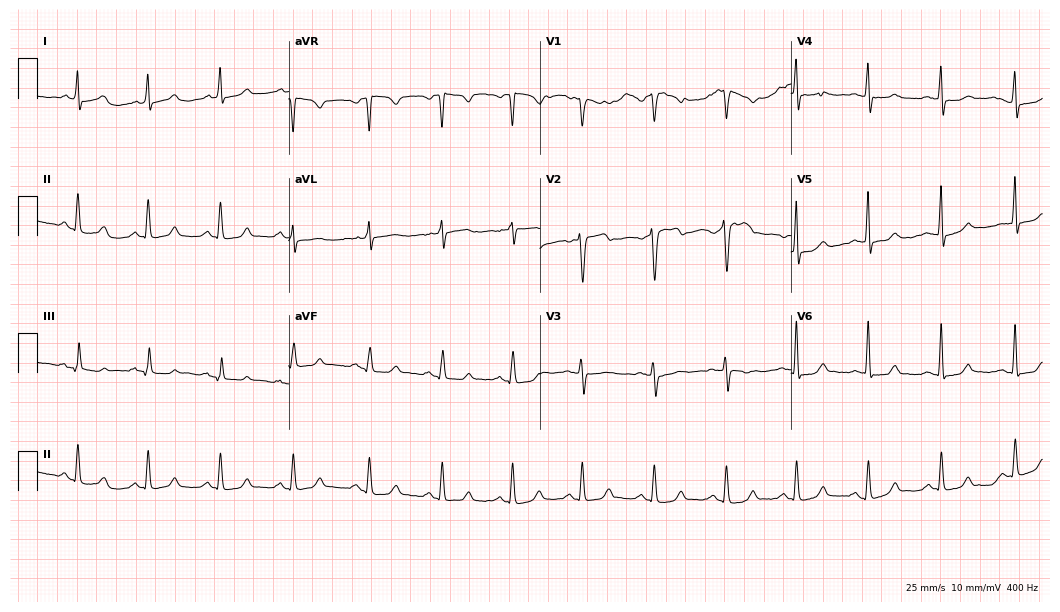
Electrocardiogram, a female, 43 years old. Overall reading on record: normal ECG.